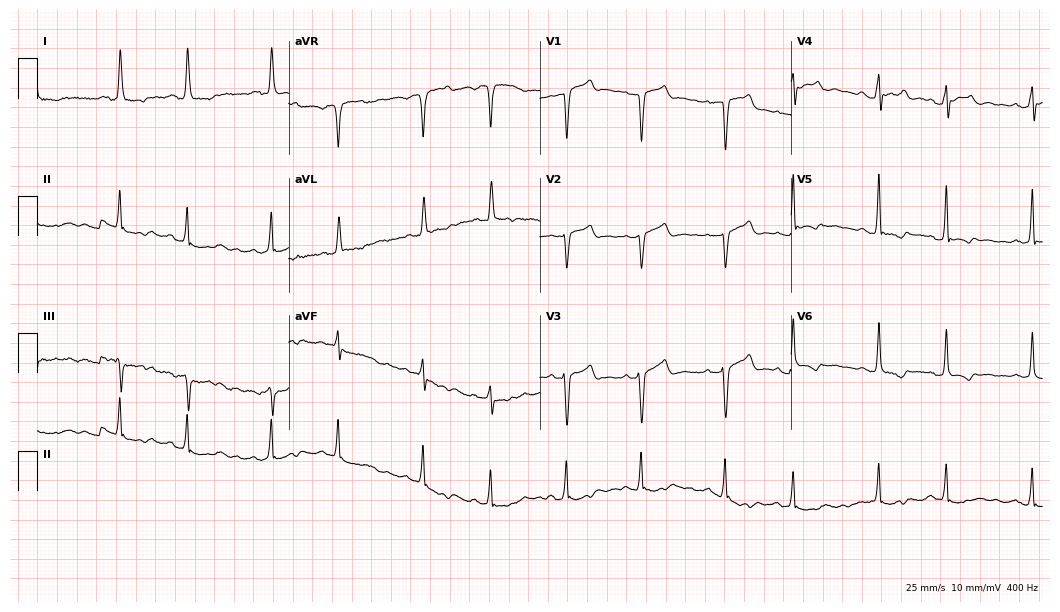
12-lead ECG from a woman, 60 years old. No first-degree AV block, right bundle branch block, left bundle branch block, sinus bradycardia, atrial fibrillation or sinus tachycardia recorded for this tracing. Findings outside these six are not listed.